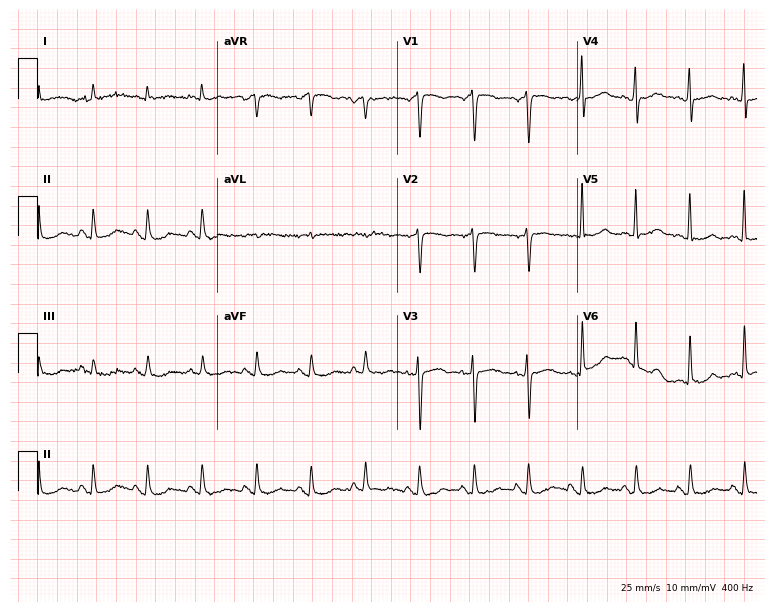
12-lead ECG from a male, 84 years old. Findings include sinus tachycardia (a sinus rate of 100 beats per minute or more).